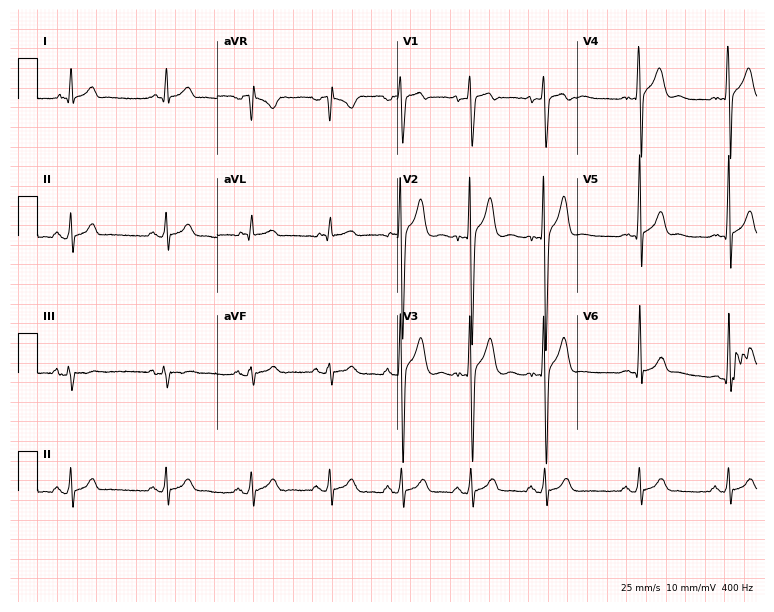
12-lead ECG from a 26-year-old man. Recorded interpretation: within normal limits.